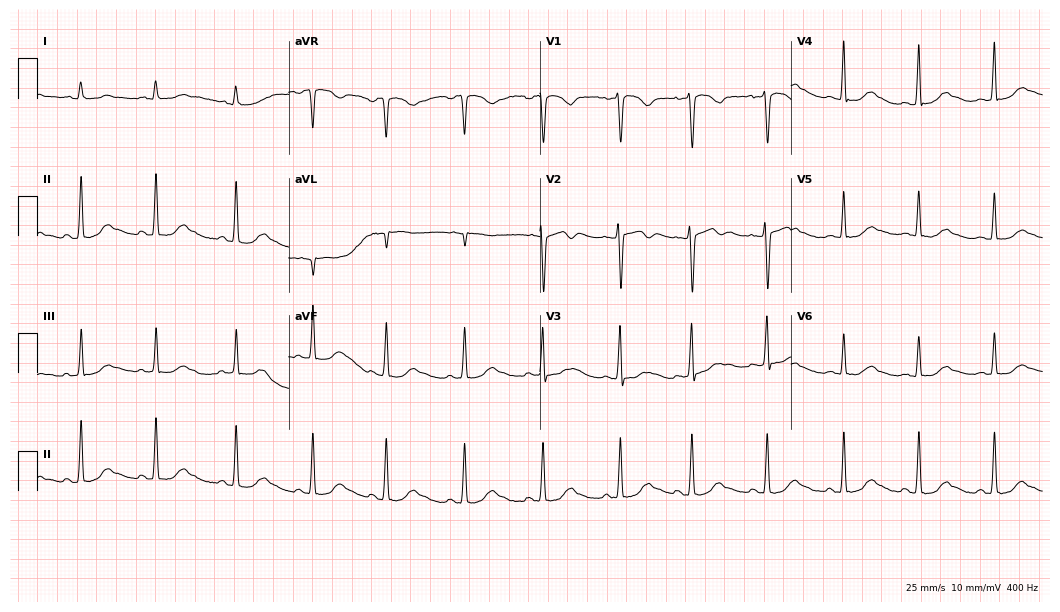
Resting 12-lead electrocardiogram. Patient: a woman, 36 years old. None of these six findings is recorded: first-degree AV block, right bundle branch block, left bundle branch block, sinus bradycardia, atrial fibrillation, sinus tachycardia.